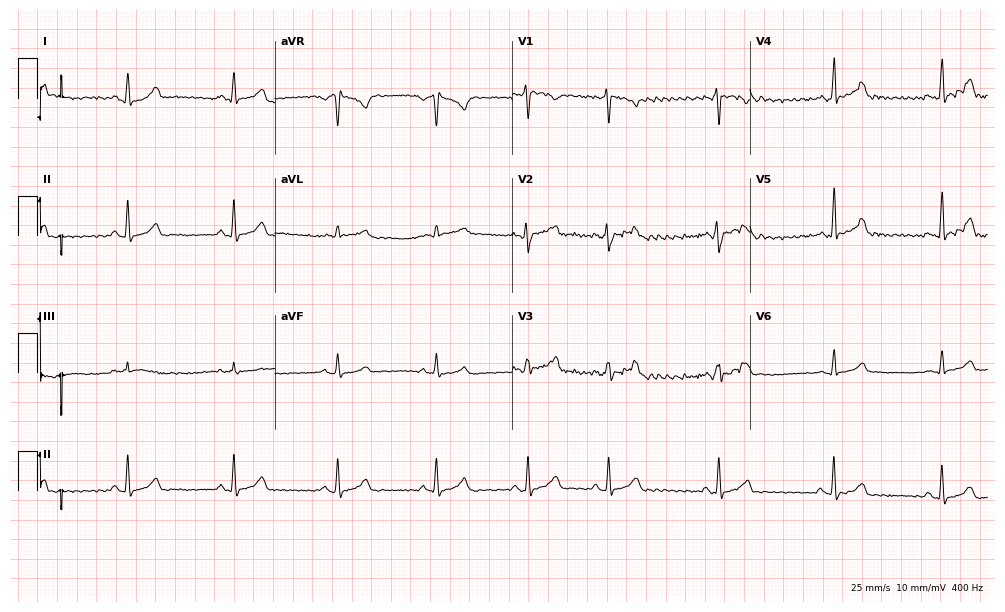
ECG — a 25-year-old female. Labelled as a normal ECG.